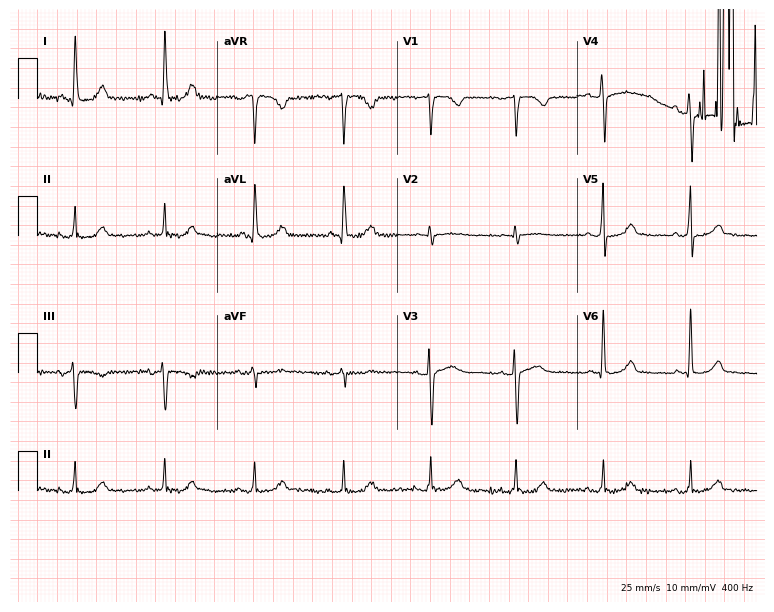
Resting 12-lead electrocardiogram. Patient: a 67-year-old female. Read as a normal ECG.